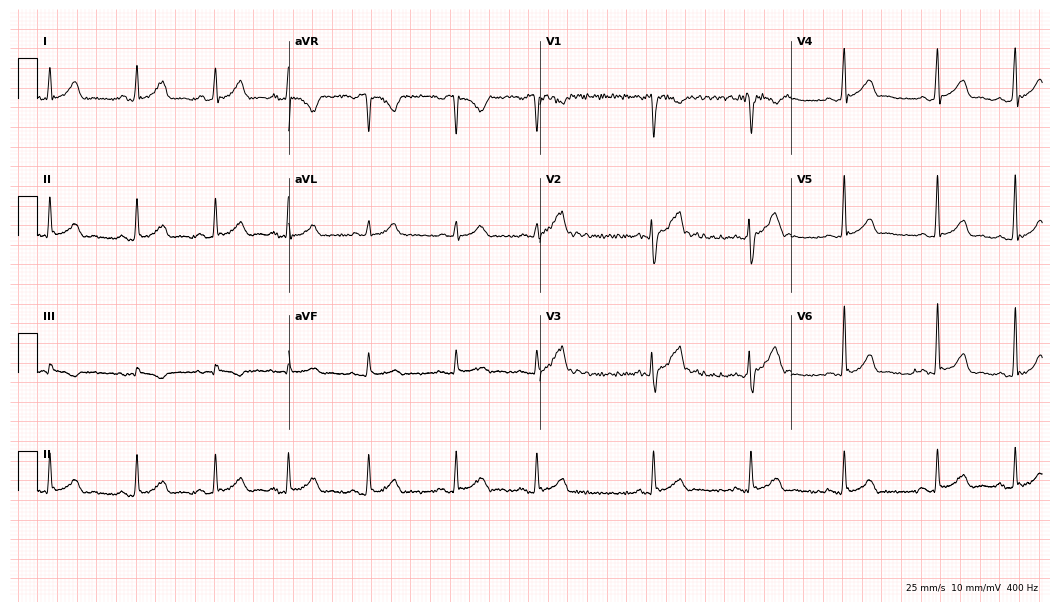
Electrocardiogram (10.2-second recording at 400 Hz), a 29-year-old male. Of the six screened findings (first-degree AV block, right bundle branch block, left bundle branch block, sinus bradycardia, atrial fibrillation, sinus tachycardia), none is recorded.